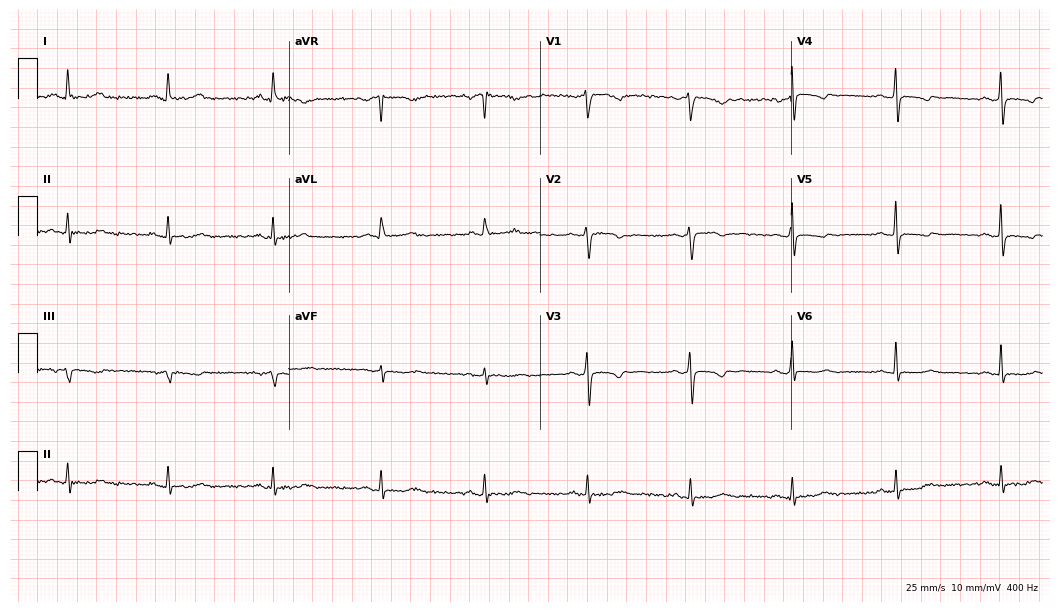
Electrocardiogram (10.2-second recording at 400 Hz), a 59-year-old female patient. Of the six screened findings (first-degree AV block, right bundle branch block, left bundle branch block, sinus bradycardia, atrial fibrillation, sinus tachycardia), none is recorded.